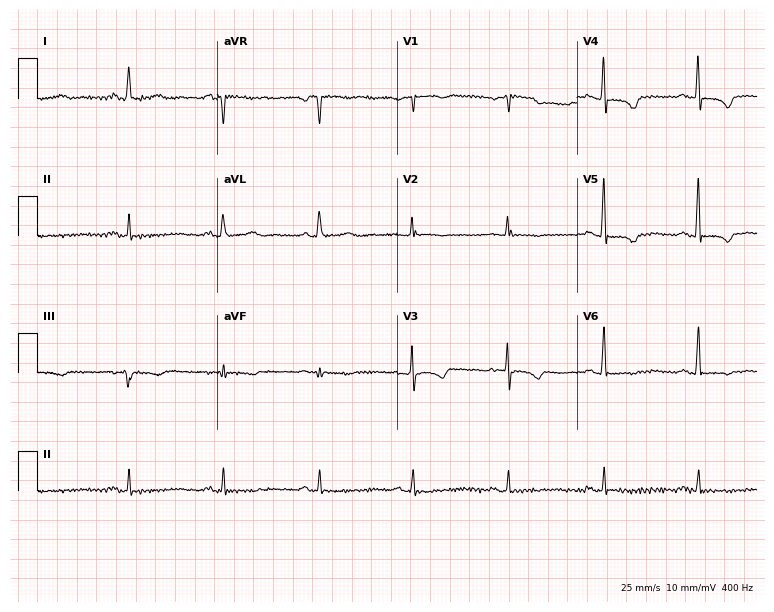
Electrocardiogram (7.3-second recording at 400 Hz), a 75-year-old female. Of the six screened findings (first-degree AV block, right bundle branch block, left bundle branch block, sinus bradycardia, atrial fibrillation, sinus tachycardia), none is recorded. Findings outside these six are not listed.